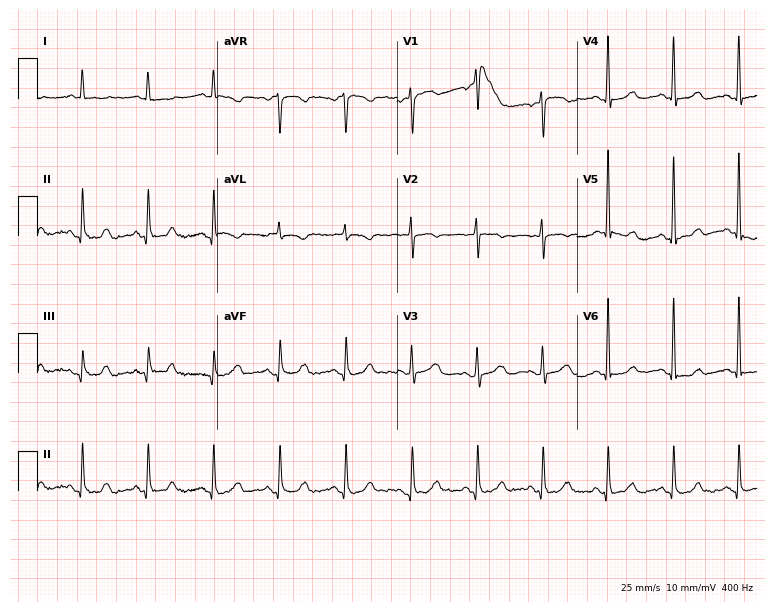
12-lead ECG (7.3-second recording at 400 Hz) from a woman, 71 years old. Screened for six findings — first-degree AV block, right bundle branch block (RBBB), left bundle branch block (LBBB), sinus bradycardia, atrial fibrillation (AF), sinus tachycardia — none is recorded. Other findings, if any, are not listed.